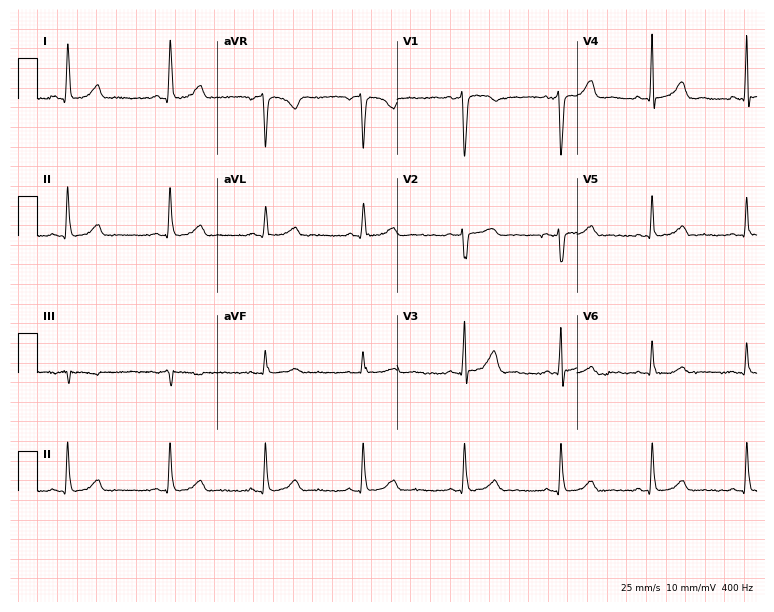
ECG (7.3-second recording at 400 Hz) — a 57-year-old female. Screened for six findings — first-degree AV block, right bundle branch block, left bundle branch block, sinus bradycardia, atrial fibrillation, sinus tachycardia — none is recorded.